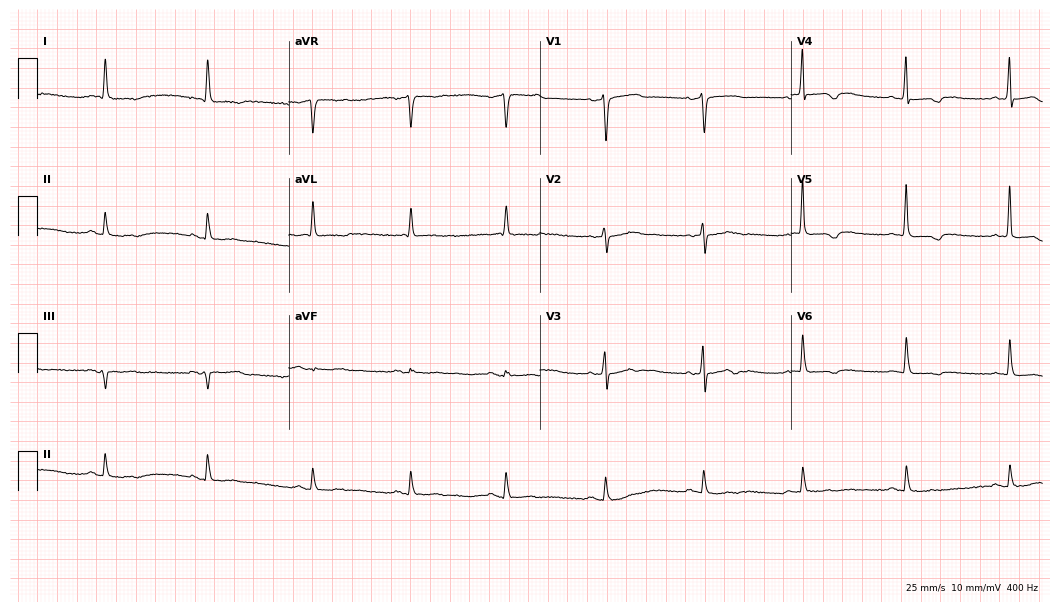
Resting 12-lead electrocardiogram. Patient: a 74-year-old woman. None of these six findings is recorded: first-degree AV block, right bundle branch block, left bundle branch block, sinus bradycardia, atrial fibrillation, sinus tachycardia. Findings outside these six are not listed.